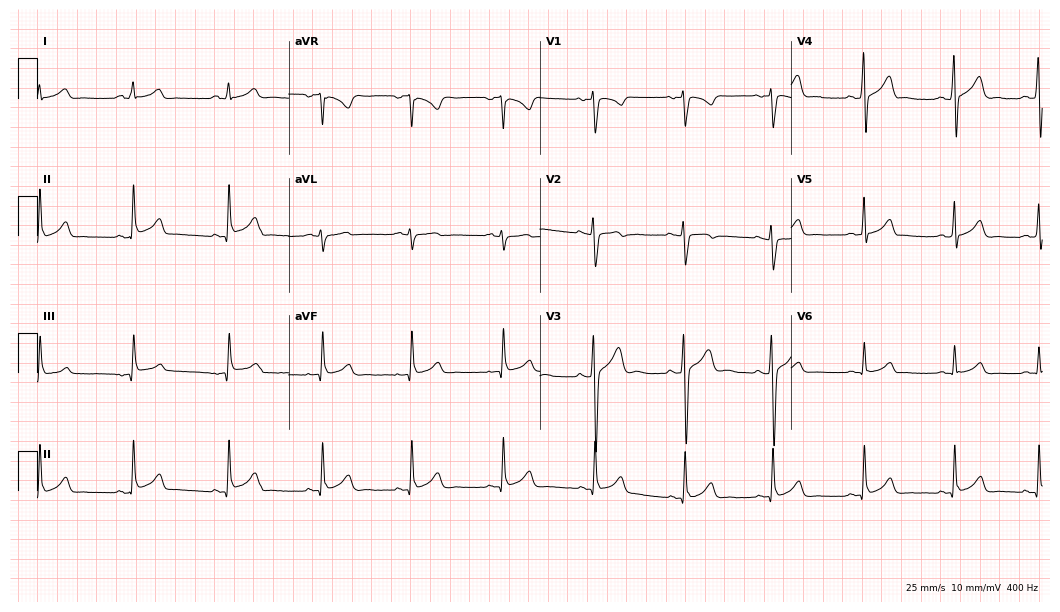
Electrocardiogram, a 17-year-old man. Overall reading on record: normal ECG.